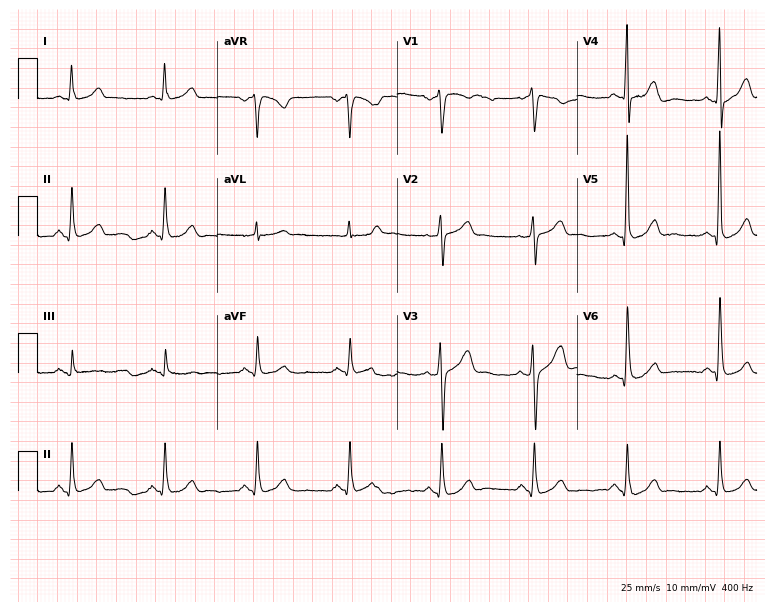
12-lead ECG from a male patient, 54 years old (7.3-second recording at 400 Hz). Recorded interpretation: within normal limits.